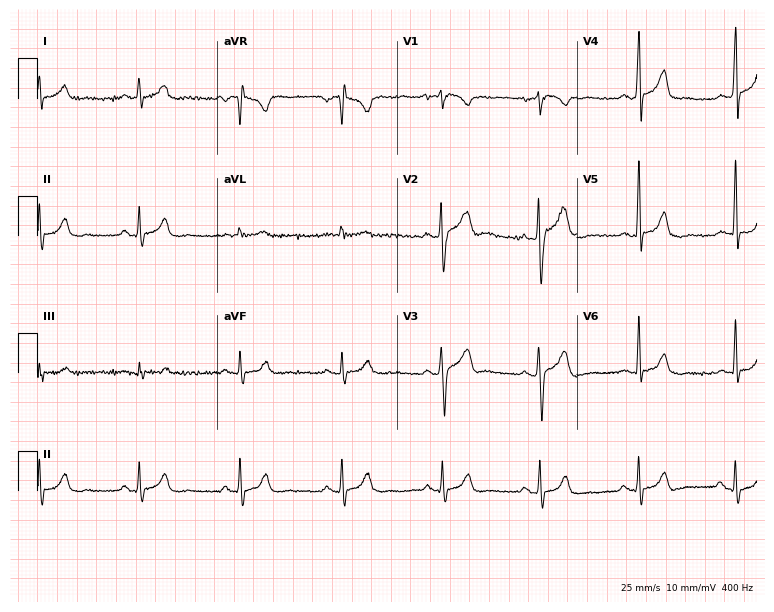
Resting 12-lead electrocardiogram. Patient: a male, 29 years old. Read as a normal ECG.